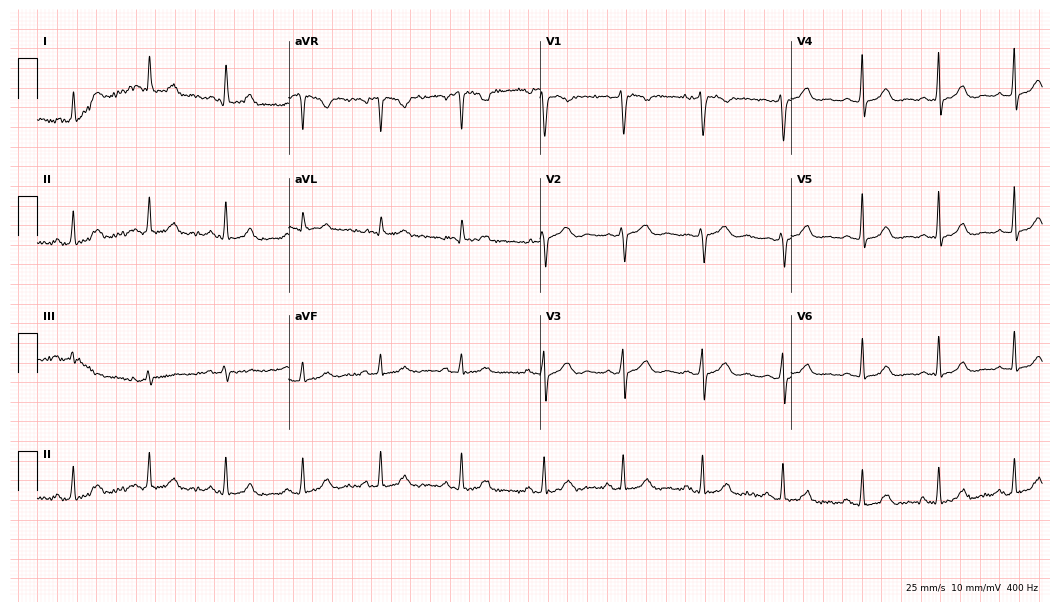
Resting 12-lead electrocardiogram. Patient: a 41-year-old female. None of these six findings is recorded: first-degree AV block, right bundle branch block, left bundle branch block, sinus bradycardia, atrial fibrillation, sinus tachycardia. Findings outside these six are not listed.